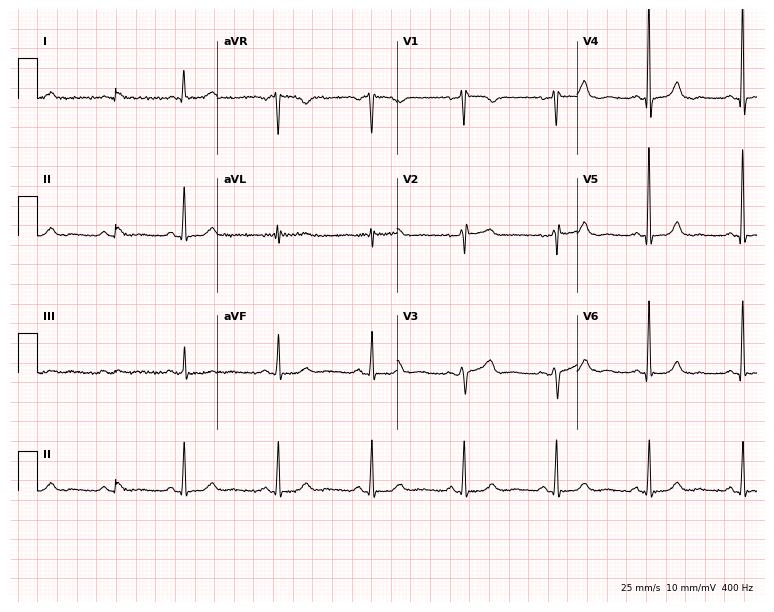
12-lead ECG from a female patient, 67 years old (7.3-second recording at 400 Hz). Recorded interpretation: within normal limits.